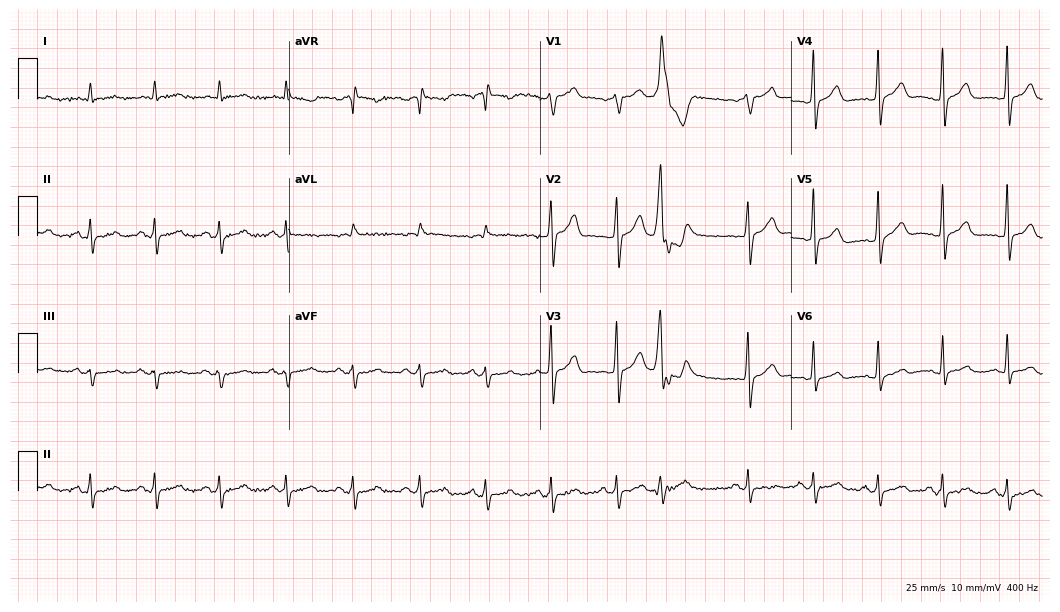
ECG (10.2-second recording at 400 Hz) — a 69-year-old male patient. Labelled as a normal ECG.